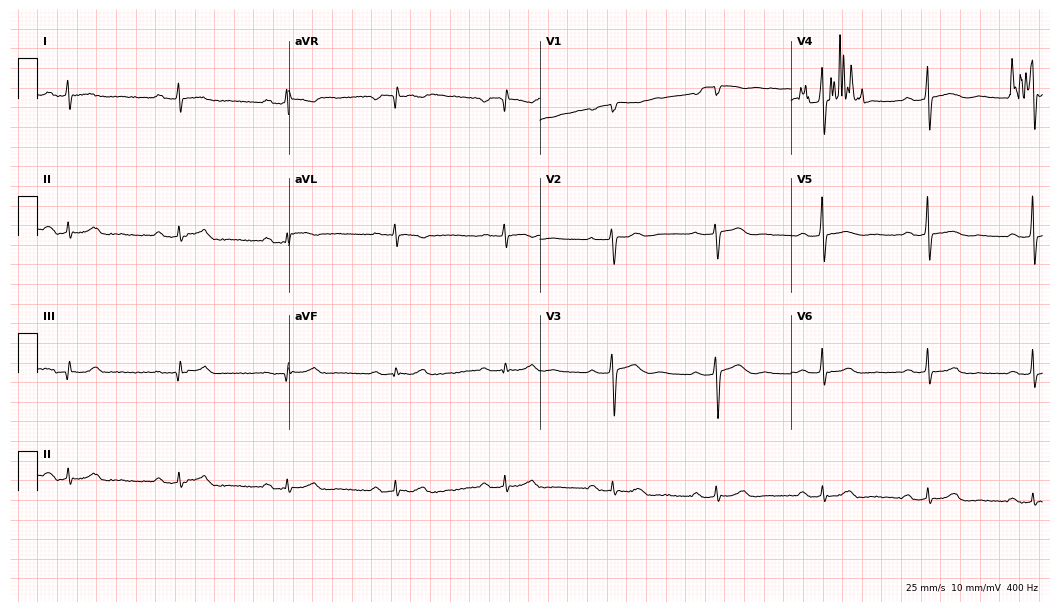
Resting 12-lead electrocardiogram. Patient: a male, 44 years old. None of these six findings is recorded: first-degree AV block, right bundle branch block (RBBB), left bundle branch block (LBBB), sinus bradycardia, atrial fibrillation (AF), sinus tachycardia. Only these six findings were labelled.